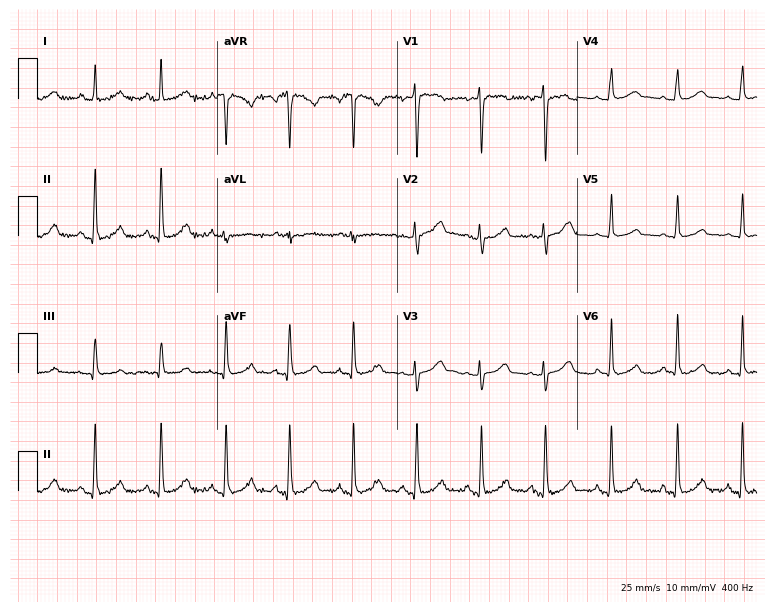
Standard 12-lead ECG recorded from a 28-year-old female. None of these six findings is recorded: first-degree AV block, right bundle branch block, left bundle branch block, sinus bradycardia, atrial fibrillation, sinus tachycardia.